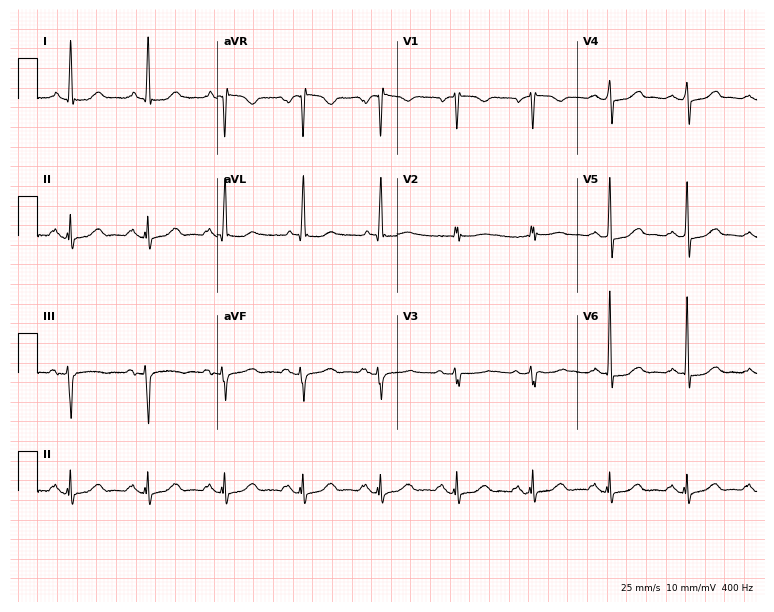
ECG (7.3-second recording at 400 Hz) — a 68-year-old female patient. Screened for six findings — first-degree AV block, right bundle branch block (RBBB), left bundle branch block (LBBB), sinus bradycardia, atrial fibrillation (AF), sinus tachycardia — none is recorded. Only these six findings were labelled.